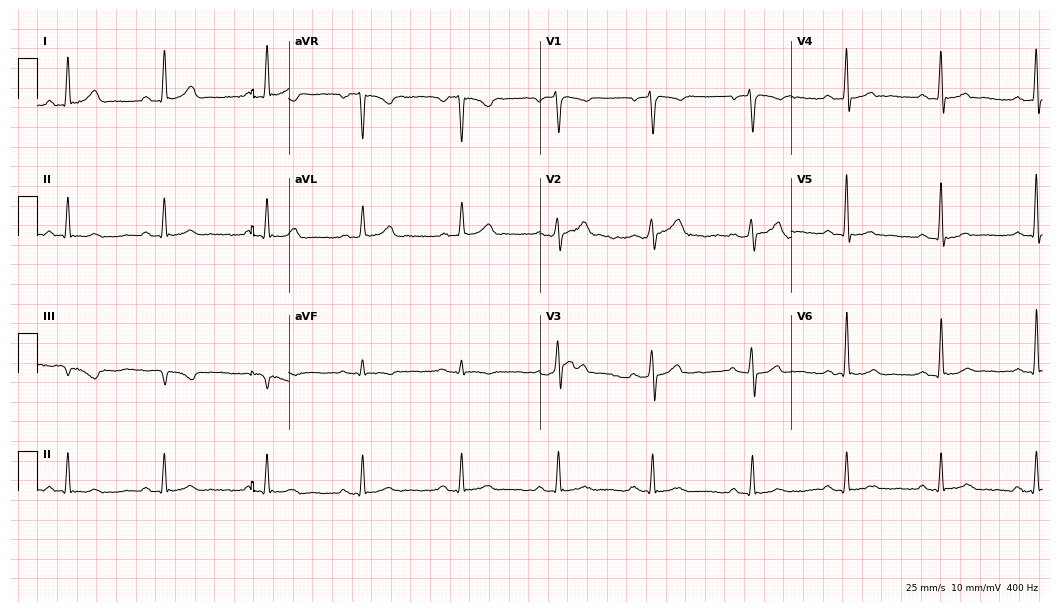
Standard 12-lead ECG recorded from a 39-year-old female (10.2-second recording at 400 Hz). Read as a normal ECG.